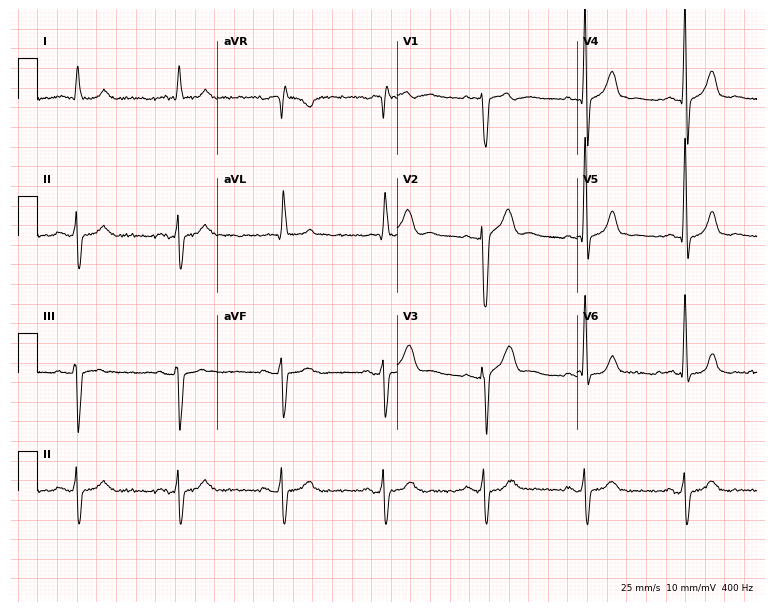
Resting 12-lead electrocardiogram. Patient: a man, 80 years old. None of these six findings is recorded: first-degree AV block, right bundle branch block, left bundle branch block, sinus bradycardia, atrial fibrillation, sinus tachycardia.